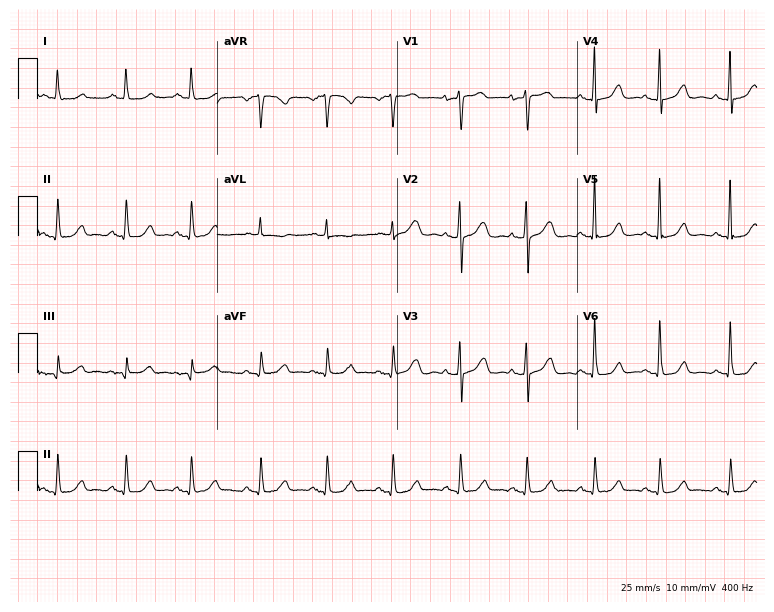
12-lead ECG from a 71-year-old female (7.3-second recording at 400 Hz). No first-degree AV block, right bundle branch block, left bundle branch block, sinus bradycardia, atrial fibrillation or sinus tachycardia recorded for this tracing.